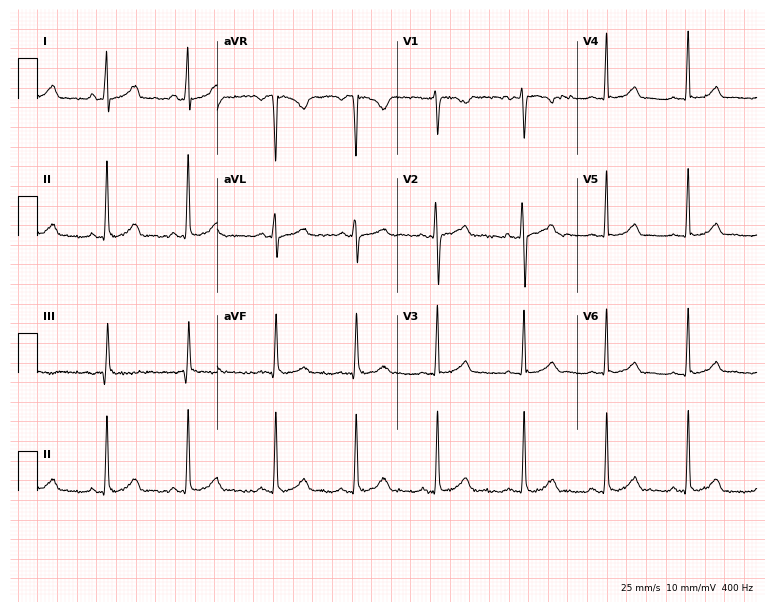
12-lead ECG from a 29-year-old female patient. Labelled as a normal ECG.